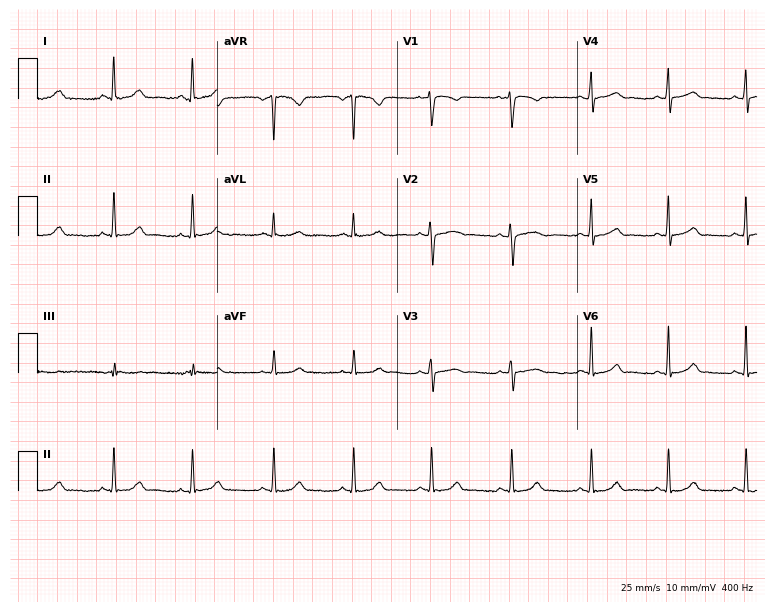
12-lead ECG (7.3-second recording at 400 Hz) from a female patient, 21 years old. Labelled as a normal ECG.